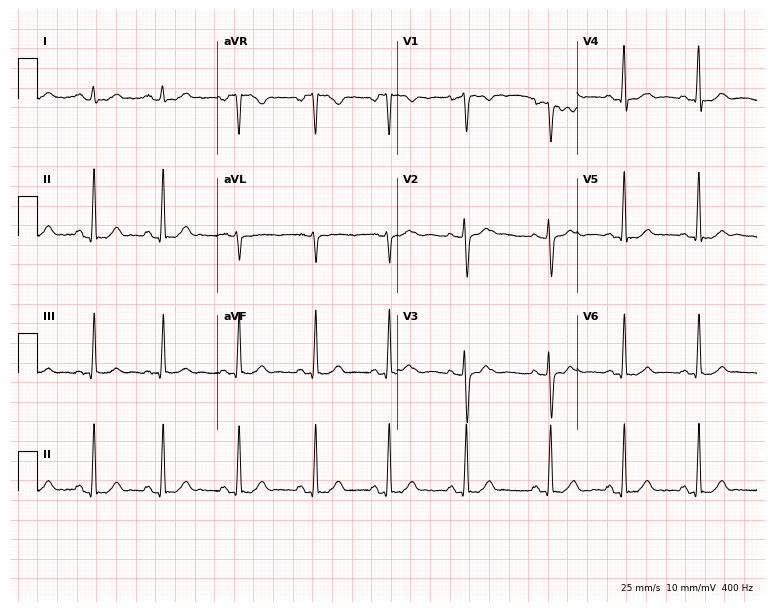
12-lead ECG from a 23-year-old female (7.3-second recording at 400 Hz). Recorded interpretation: within normal limits.